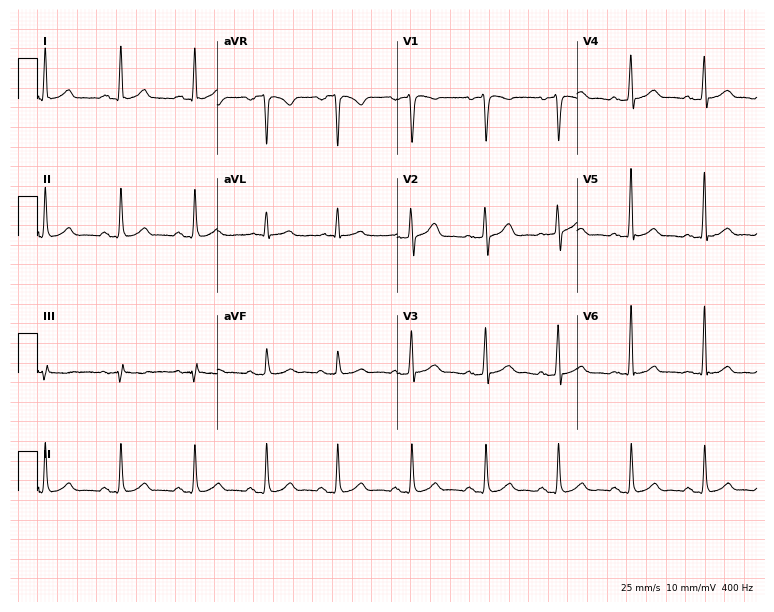
12-lead ECG from a man, 29 years old. Recorded interpretation: within normal limits.